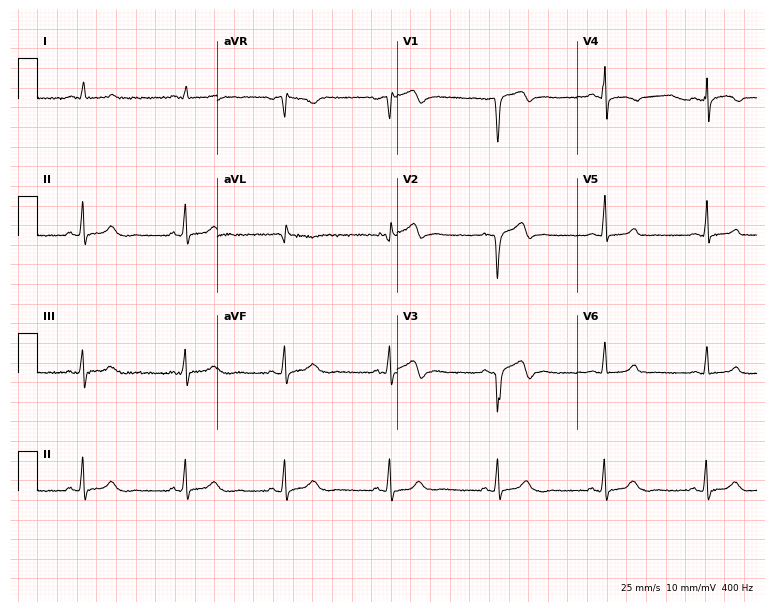
Resting 12-lead electrocardiogram (7.3-second recording at 400 Hz). Patient: a male, 57 years old. None of these six findings is recorded: first-degree AV block, right bundle branch block, left bundle branch block, sinus bradycardia, atrial fibrillation, sinus tachycardia.